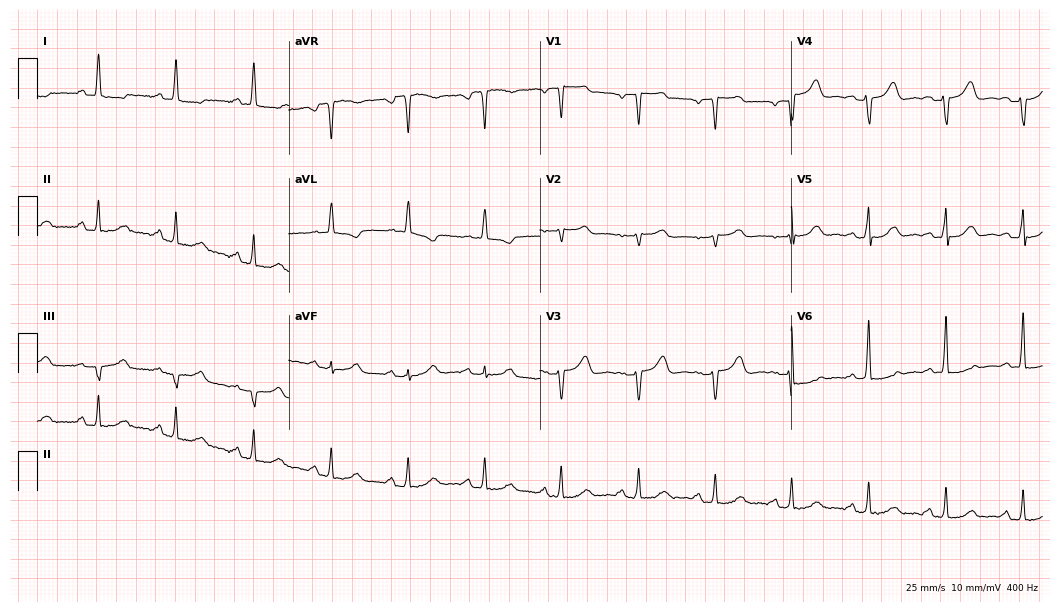
12-lead ECG (10.2-second recording at 400 Hz) from a 66-year-old female. Screened for six findings — first-degree AV block, right bundle branch block, left bundle branch block, sinus bradycardia, atrial fibrillation, sinus tachycardia — none is recorded. Findings outside these six are not listed.